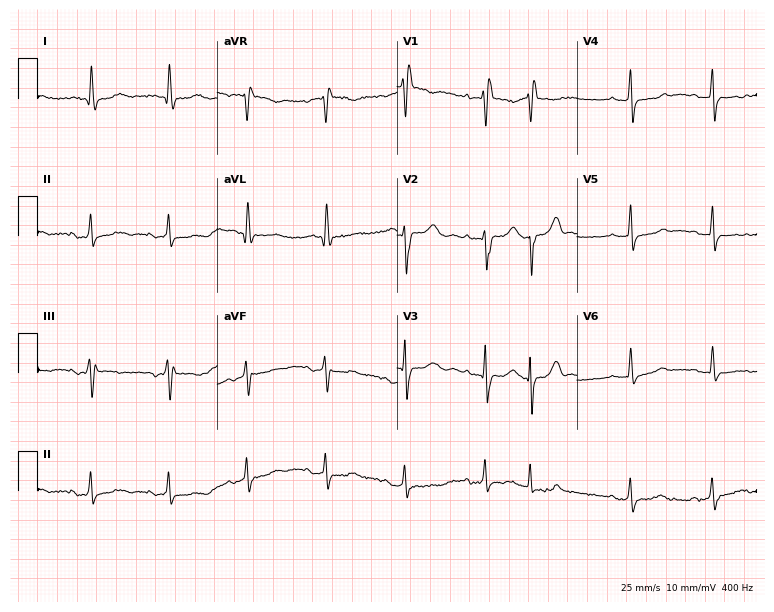
12-lead ECG from a 73-year-old female patient. No first-degree AV block, right bundle branch block, left bundle branch block, sinus bradycardia, atrial fibrillation or sinus tachycardia recorded for this tracing.